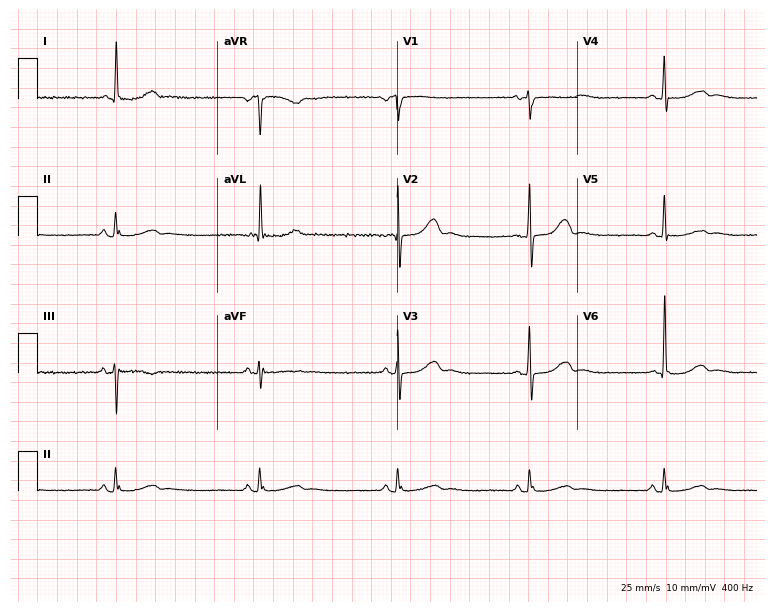
ECG — an 80-year-old female patient. Findings include sinus bradycardia (a sinus rate of 50 beats per minute or less).